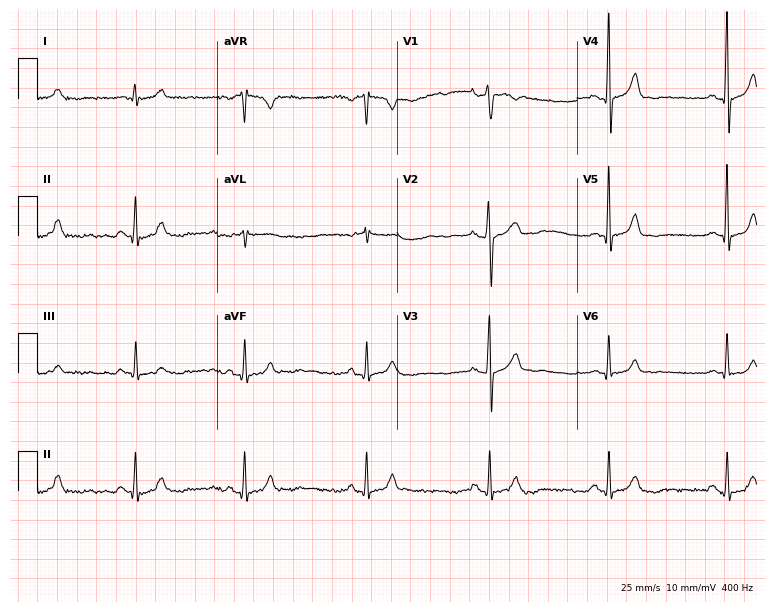
12-lead ECG from a male patient, 57 years old. Screened for six findings — first-degree AV block, right bundle branch block, left bundle branch block, sinus bradycardia, atrial fibrillation, sinus tachycardia — none is recorded. Findings outside these six are not listed.